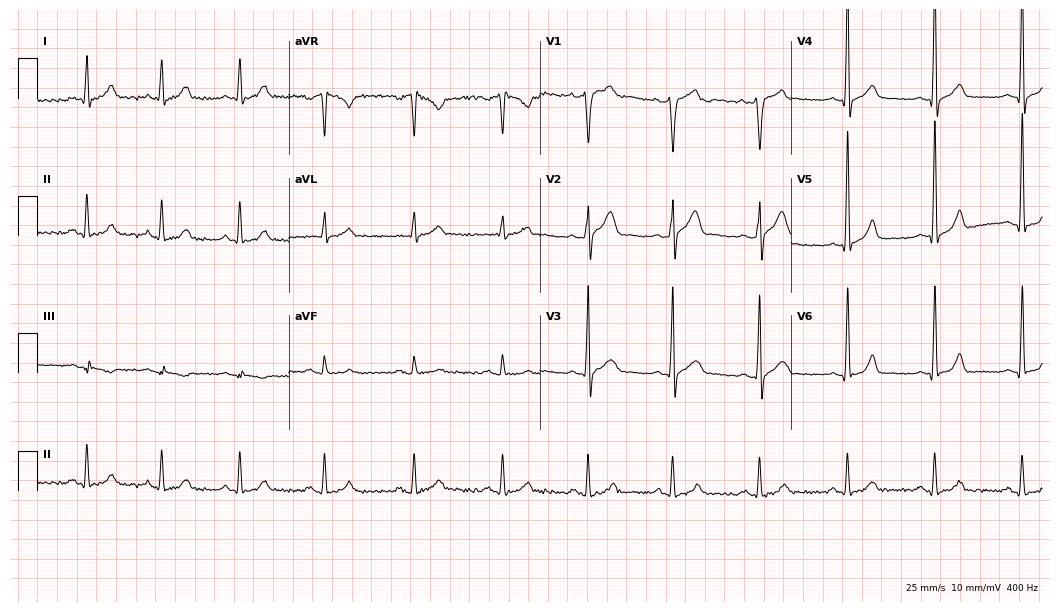
12-lead ECG from a male patient, 35 years old. Labelled as a normal ECG.